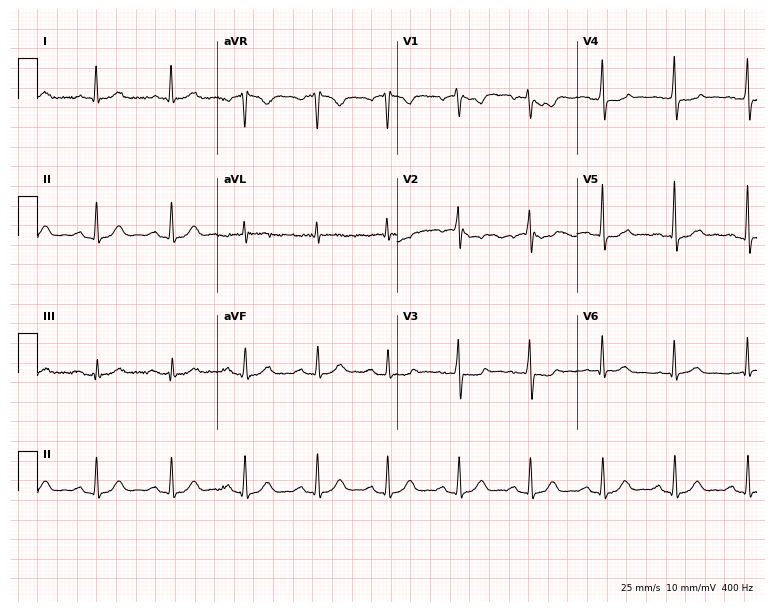
Electrocardiogram, a male patient, 66 years old. Of the six screened findings (first-degree AV block, right bundle branch block (RBBB), left bundle branch block (LBBB), sinus bradycardia, atrial fibrillation (AF), sinus tachycardia), none is recorded.